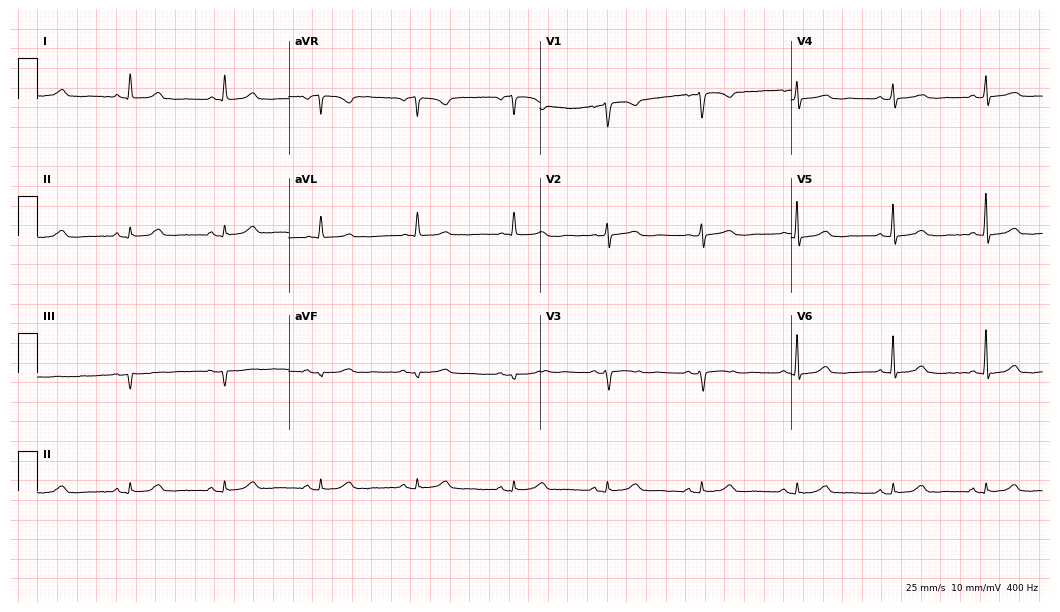
Standard 12-lead ECG recorded from a female, 45 years old (10.2-second recording at 400 Hz). Read as a normal ECG.